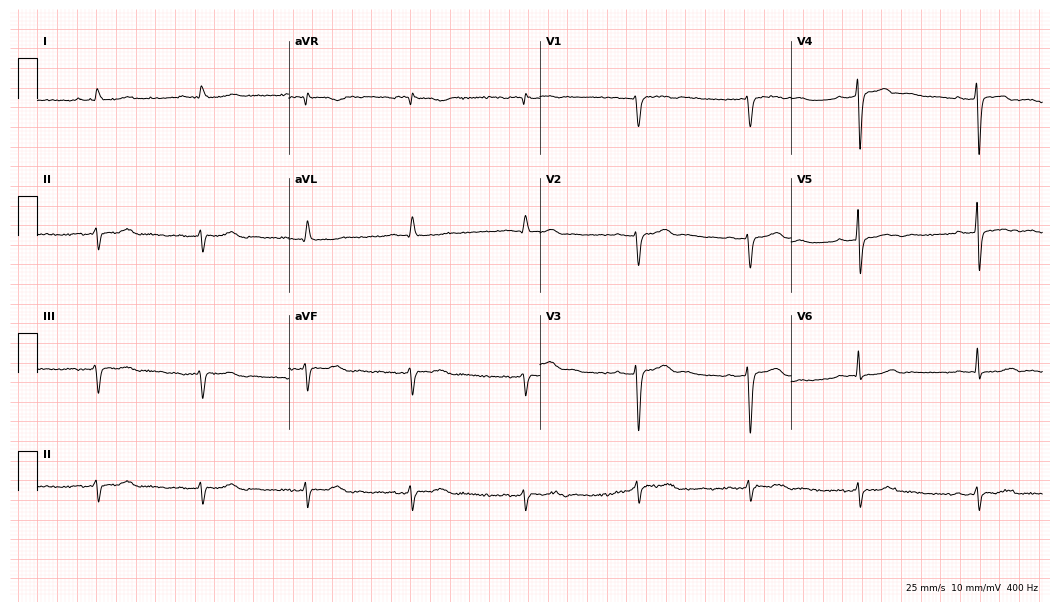
ECG (10.2-second recording at 400 Hz) — a 77-year-old male patient. Screened for six findings — first-degree AV block, right bundle branch block, left bundle branch block, sinus bradycardia, atrial fibrillation, sinus tachycardia — none is recorded.